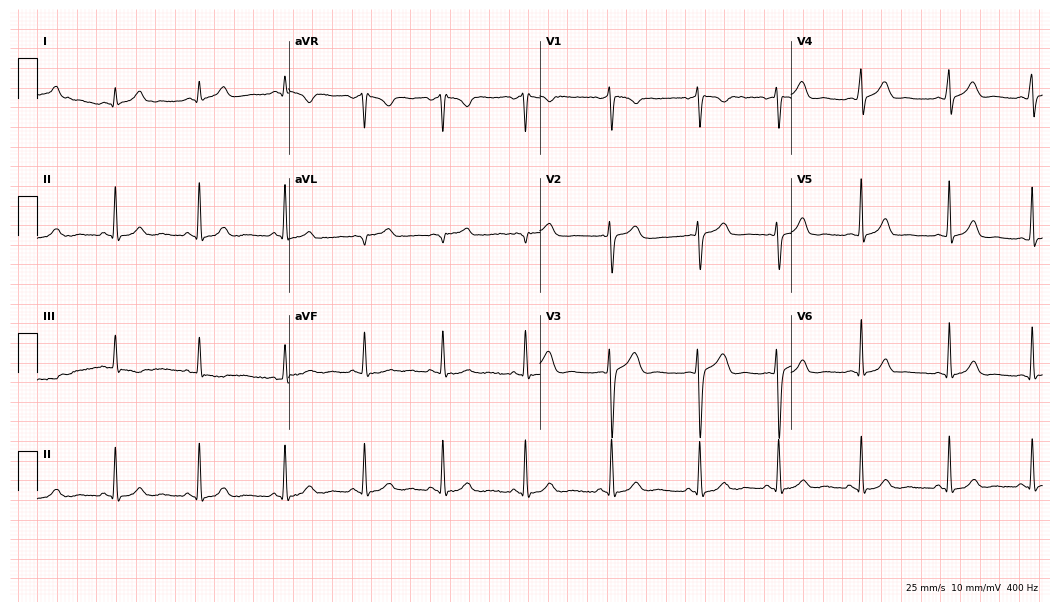
Resting 12-lead electrocardiogram (10.2-second recording at 400 Hz). Patient: a female, 24 years old. Read as a normal ECG.